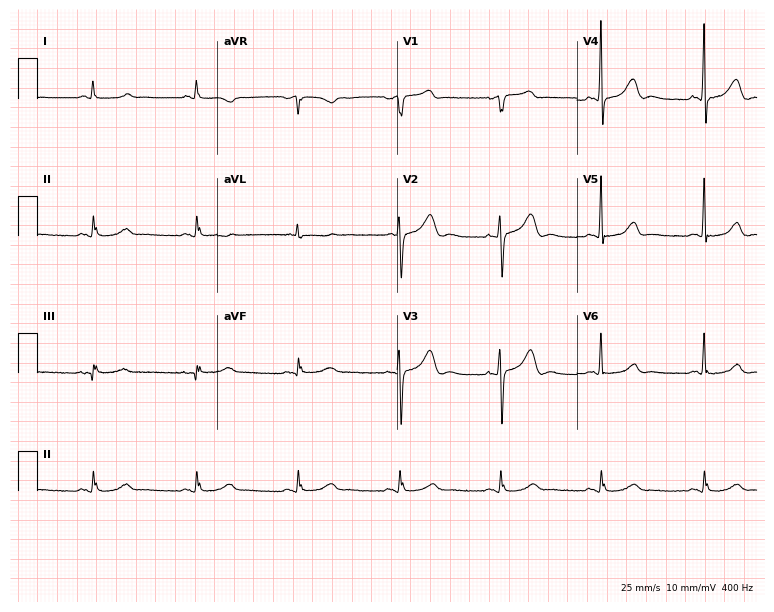
ECG (7.3-second recording at 400 Hz) — a female, 76 years old. Labelled as a normal ECG.